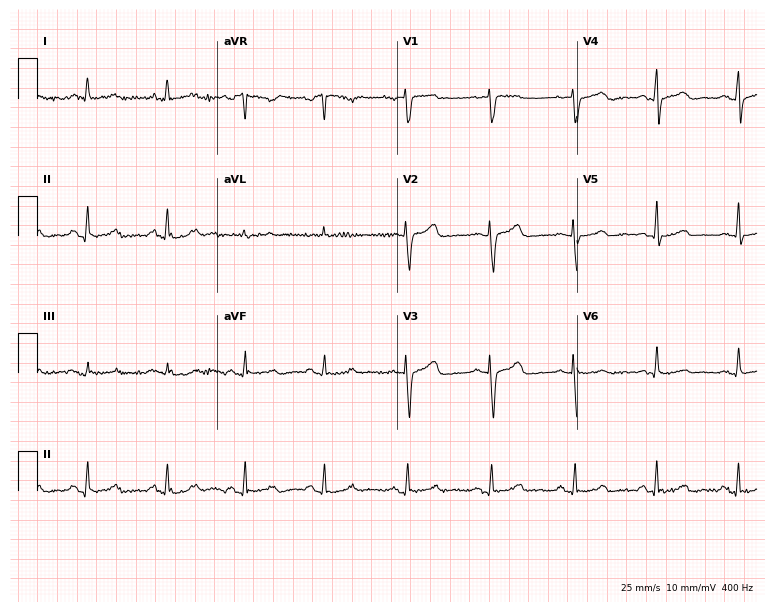
Resting 12-lead electrocardiogram (7.3-second recording at 400 Hz). Patient: a 51-year-old female. Read as a normal ECG.